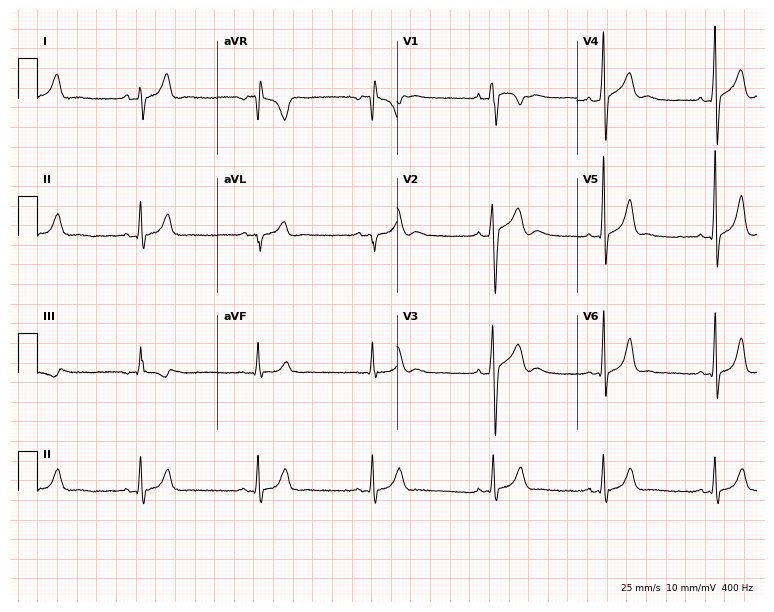
Resting 12-lead electrocardiogram (7.3-second recording at 400 Hz). Patient: a 17-year-old male. Read as a normal ECG.